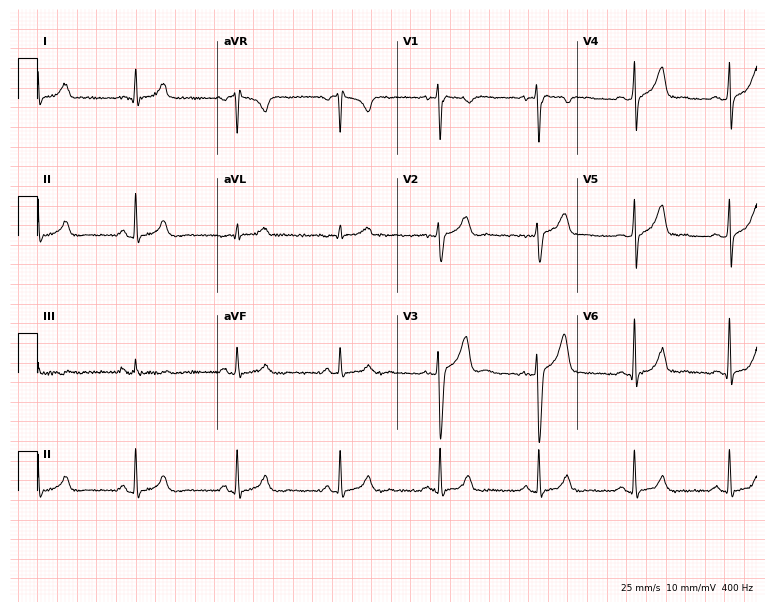
ECG — a man, 35 years old. Labelled as a normal ECG.